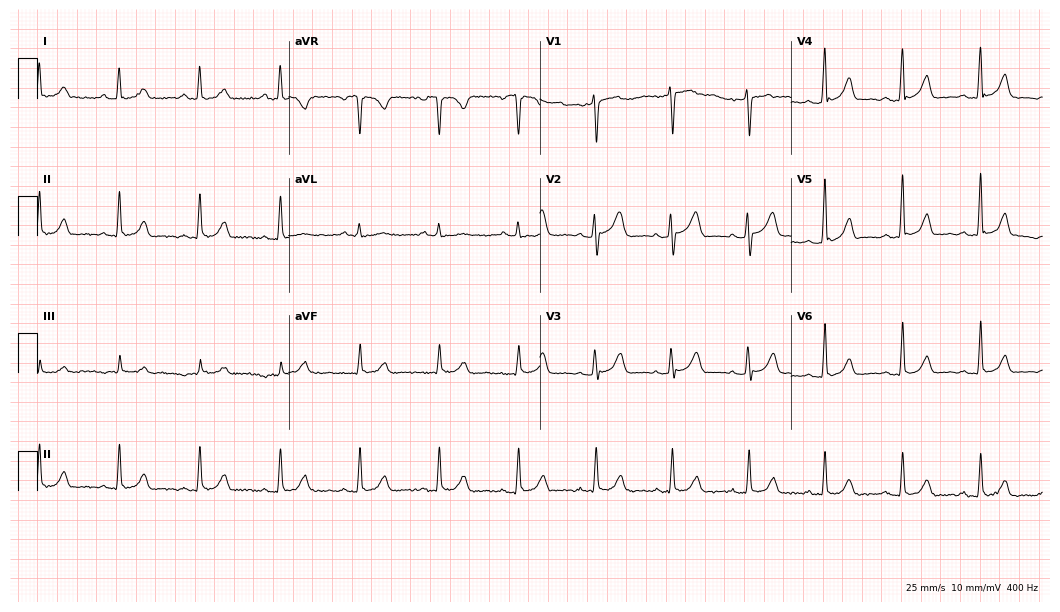
Resting 12-lead electrocardiogram. Patient: a 57-year-old female. Read as a normal ECG.